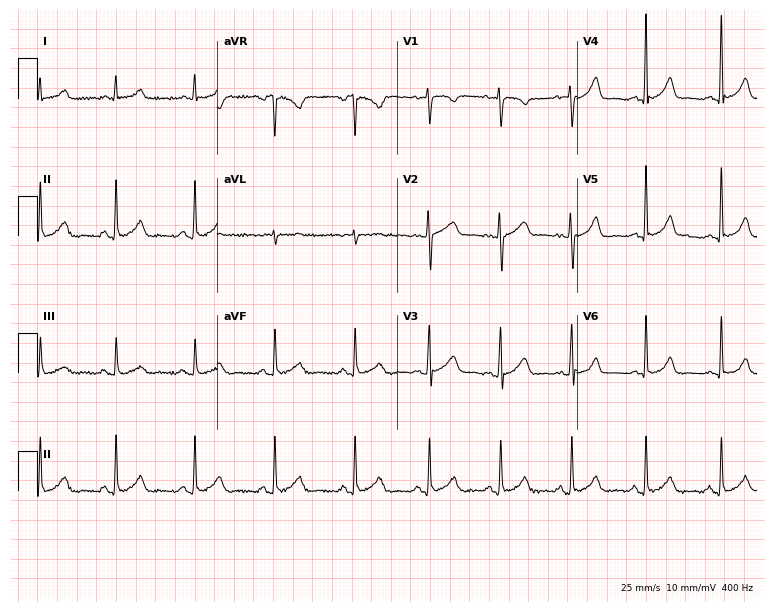
Electrocardiogram, a female patient, 36 years old. Overall reading on record: normal ECG.